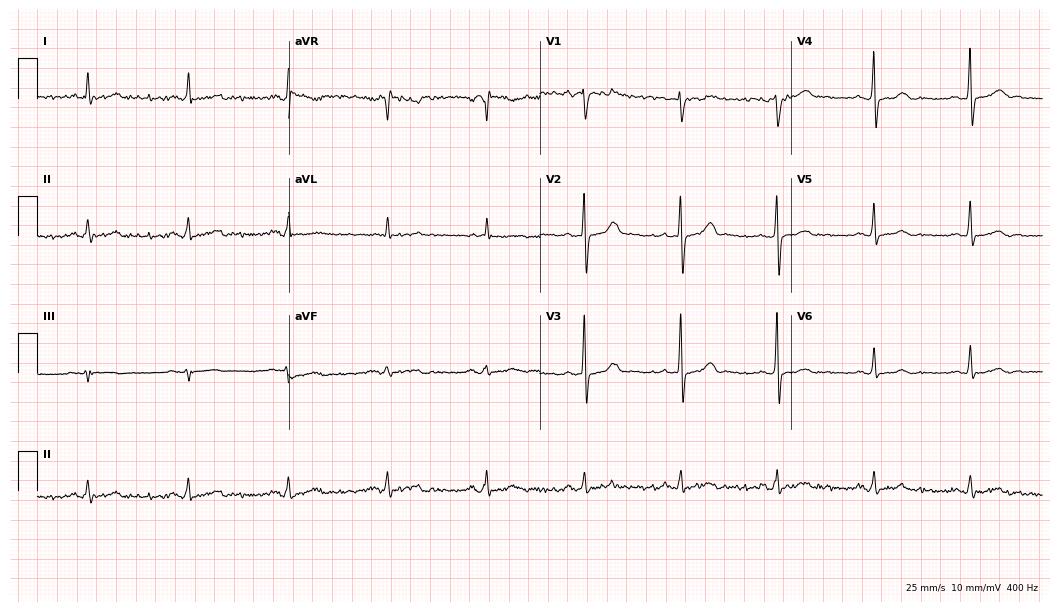
ECG (10.2-second recording at 400 Hz) — a male patient, 74 years old. Labelled as a normal ECG.